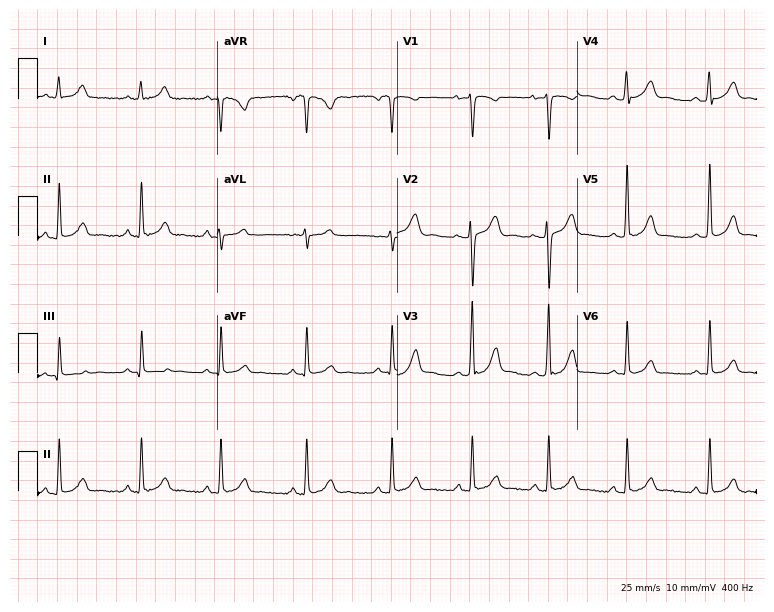
Resting 12-lead electrocardiogram. Patient: a 45-year-old female. None of these six findings is recorded: first-degree AV block, right bundle branch block, left bundle branch block, sinus bradycardia, atrial fibrillation, sinus tachycardia. Findings outside these six are not listed.